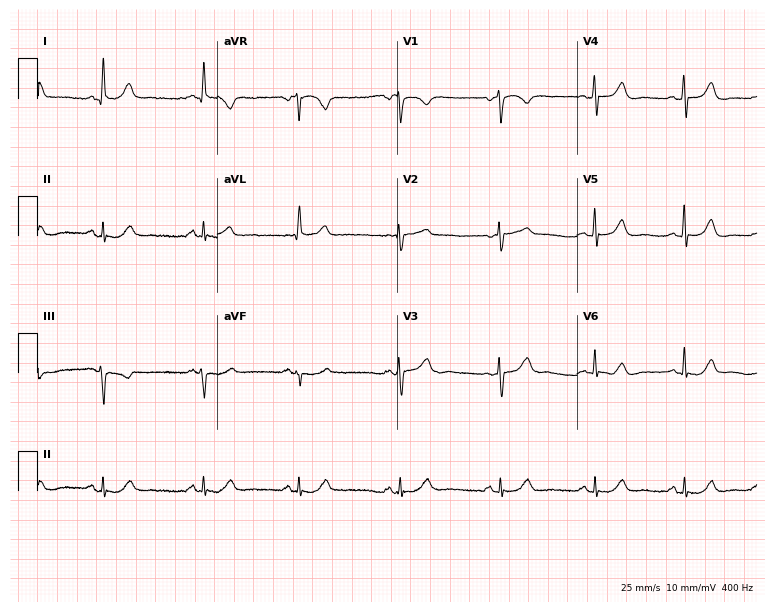
Electrocardiogram, a woman, 60 years old. Overall reading on record: normal ECG.